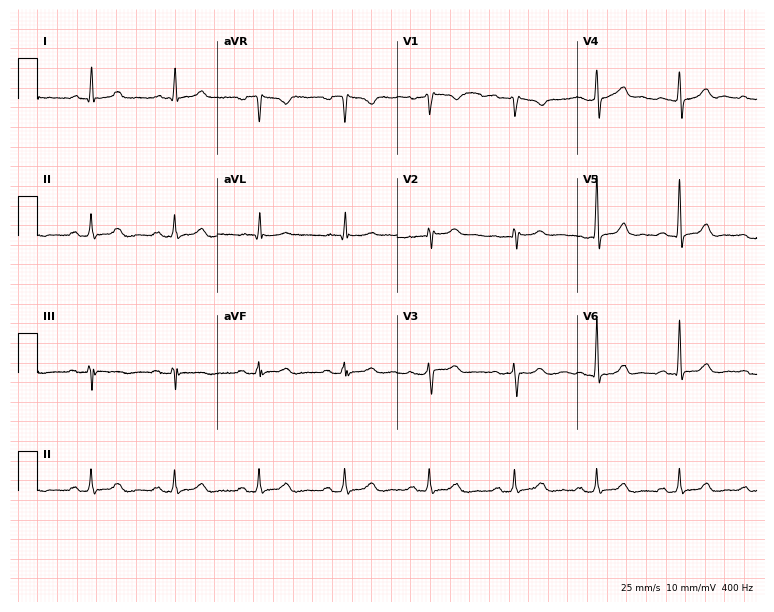
ECG — a woman, 55 years old. Labelled as a normal ECG.